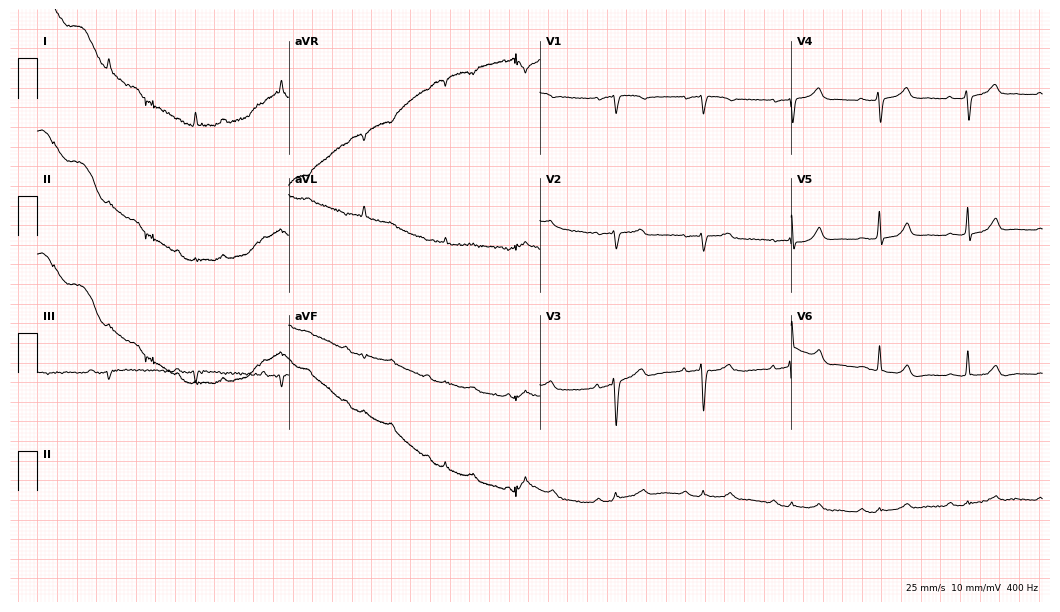
Electrocardiogram (10.2-second recording at 400 Hz), a female patient, 80 years old. Of the six screened findings (first-degree AV block, right bundle branch block, left bundle branch block, sinus bradycardia, atrial fibrillation, sinus tachycardia), none is recorded. Findings outside these six are not listed.